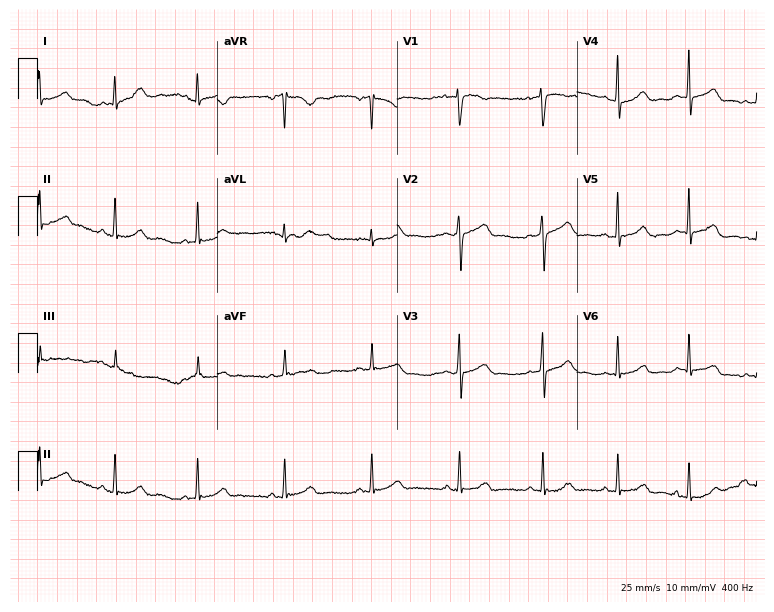
Resting 12-lead electrocardiogram. Patient: a female, 22 years old. Read as a normal ECG.